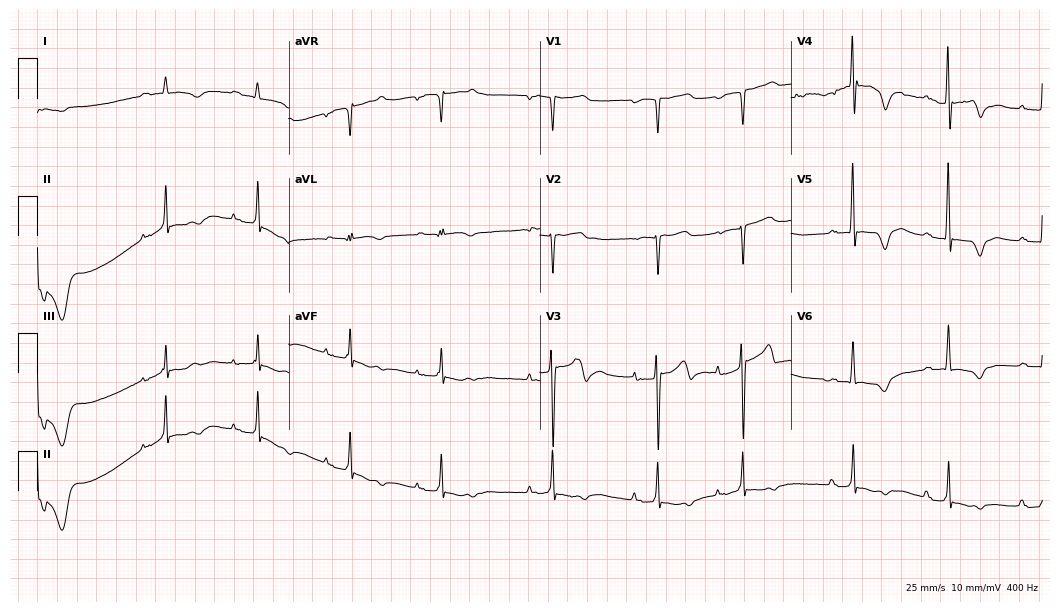
Resting 12-lead electrocardiogram (10.2-second recording at 400 Hz). Patient: a 77-year-old male. None of these six findings is recorded: first-degree AV block, right bundle branch block (RBBB), left bundle branch block (LBBB), sinus bradycardia, atrial fibrillation (AF), sinus tachycardia. Only these six findings were labelled.